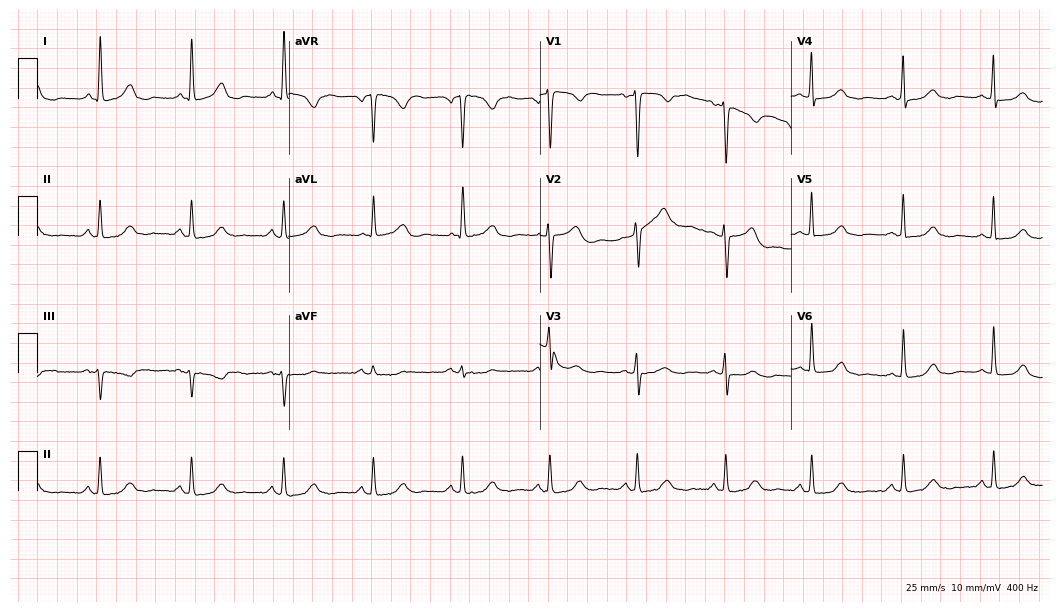
Standard 12-lead ECG recorded from a 53-year-old female. Read as a normal ECG.